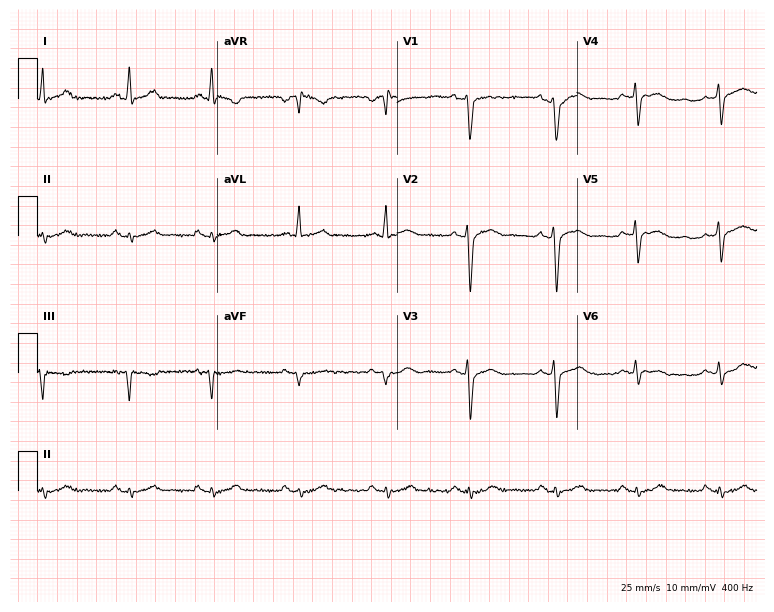
Standard 12-lead ECG recorded from a male, 26 years old. None of these six findings is recorded: first-degree AV block, right bundle branch block, left bundle branch block, sinus bradycardia, atrial fibrillation, sinus tachycardia. Other findings, if any, are not listed.